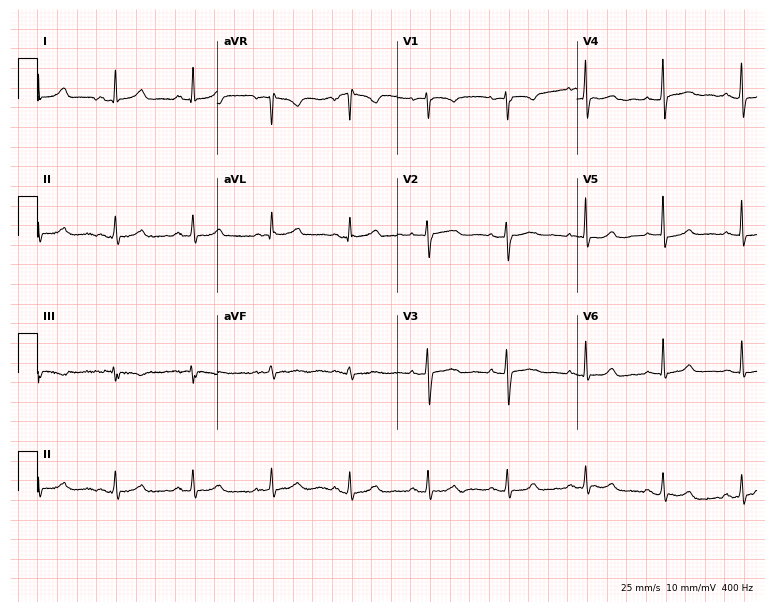
Resting 12-lead electrocardiogram (7.3-second recording at 400 Hz). Patient: a woman, 46 years old. Read as a normal ECG.